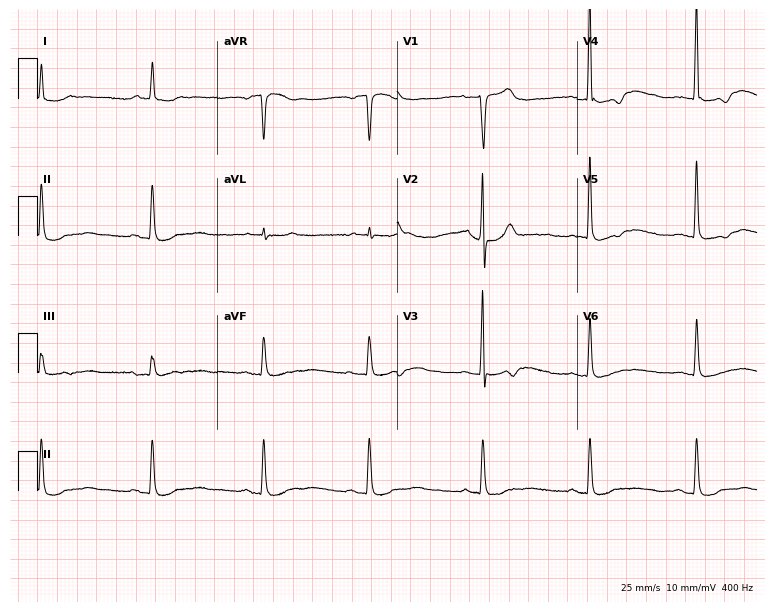
12-lead ECG from a 77-year-old female patient. No first-degree AV block, right bundle branch block, left bundle branch block, sinus bradycardia, atrial fibrillation or sinus tachycardia recorded for this tracing.